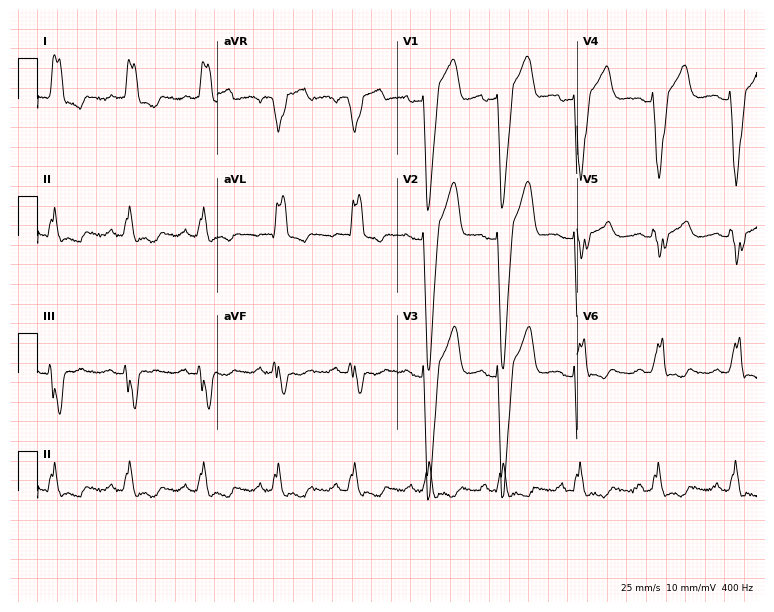
Standard 12-lead ECG recorded from a 51-year-old man. The tracing shows left bundle branch block (LBBB).